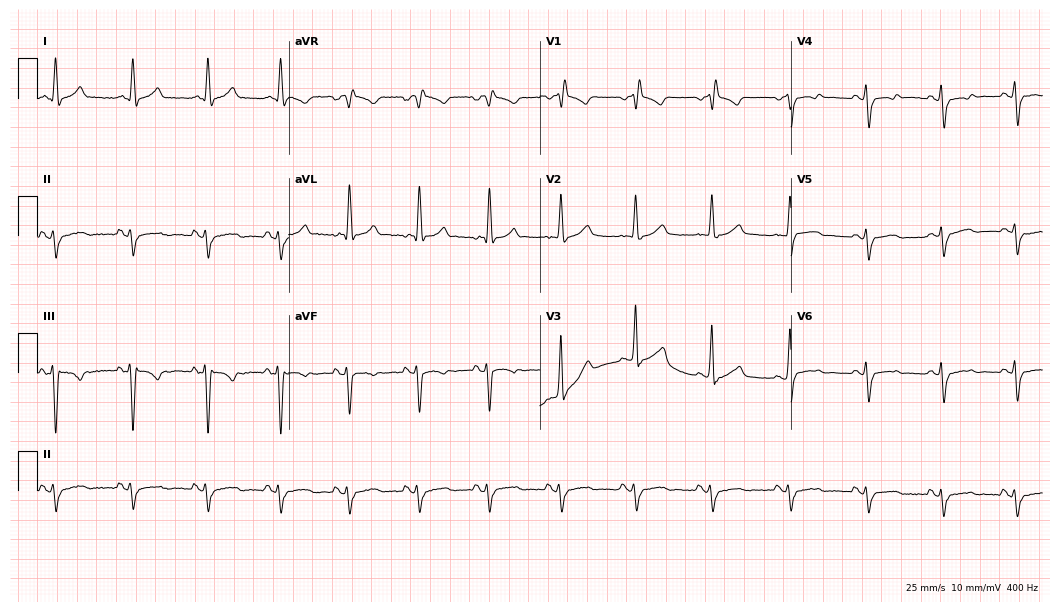
12-lead ECG from a female, 49 years old. Shows right bundle branch block (RBBB).